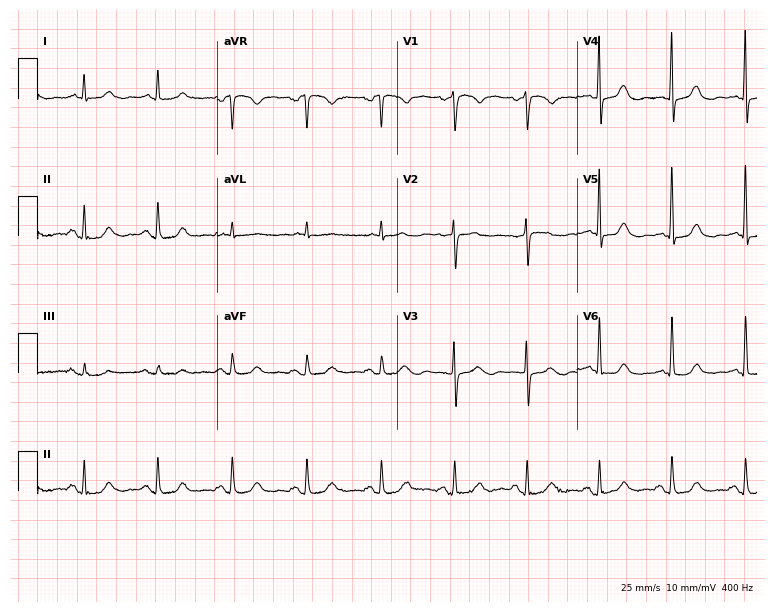
ECG (7.3-second recording at 400 Hz) — a female patient, 85 years old. Labelled as a normal ECG.